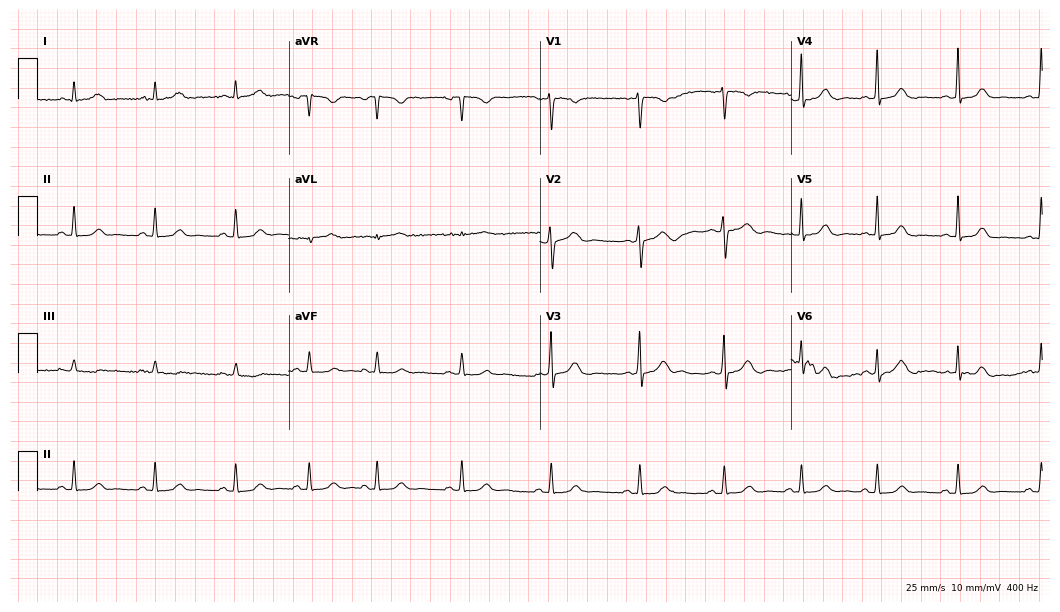
Standard 12-lead ECG recorded from a female, 24 years old (10.2-second recording at 400 Hz). None of these six findings is recorded: first-degree AV block, right bundle branch block, left bundle branch block, sinus bradycardia, atrial fibrillation, sinus tachycardia.